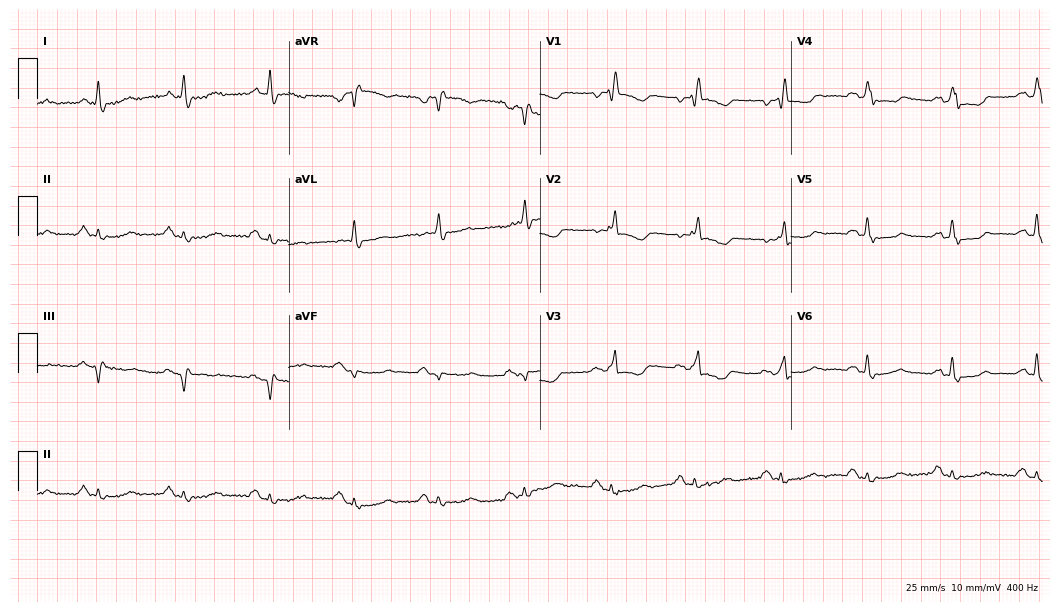
Electrocardiogram, an 83-year-old woman. Of the six screened findings (first-degree AV block, right bundle branch block (RBBB), left bundle branch block (LBBB), sinus bradycardia, atrial fibrillation (AF), sinus tachycardia), none is recorded.